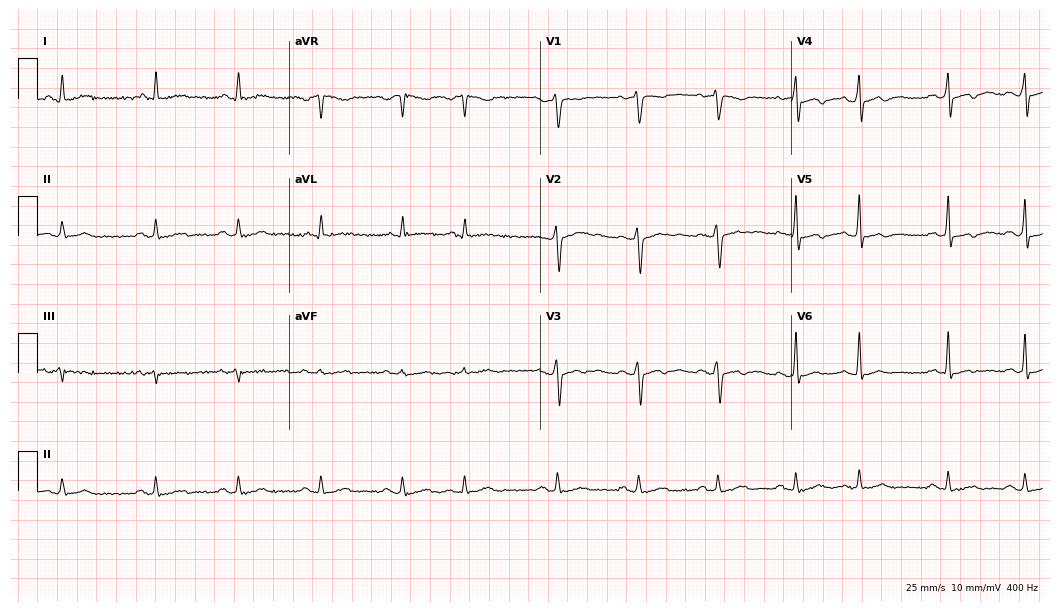
12-lead ECG from a male, 60 years old. No first-degree AV block, right bundle branch block (RBBB), left bundle branch block (LBBB), sinus bradycardia, atrial fibrillation (AF) or sinus tachycardia recorded for this tracing. Other findings, if any, are not listed.